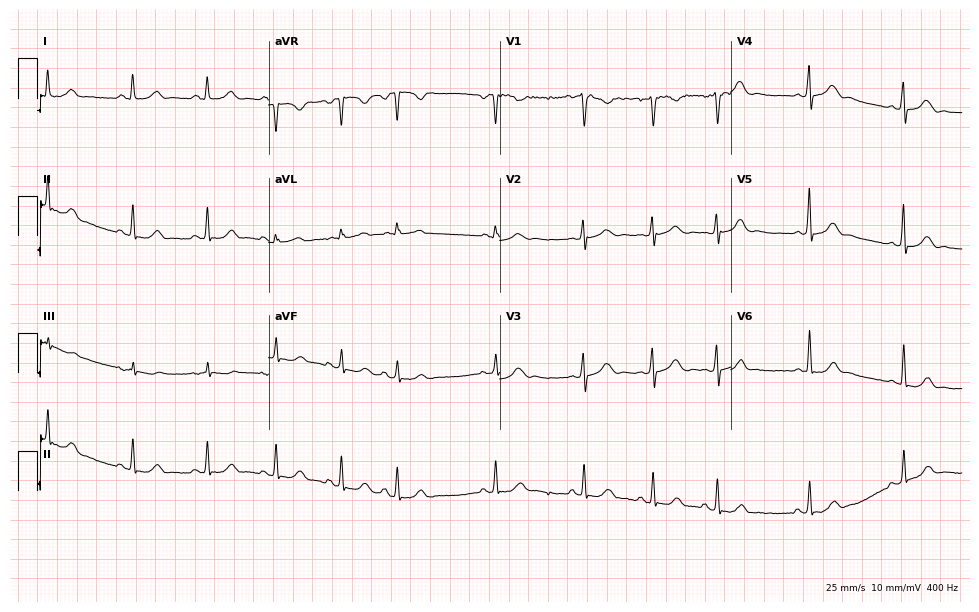
Standard 12-lead ECG recorded from a female patient, 19 years old (9.4-second recording at 400 Hz). Read as a normal ECG.